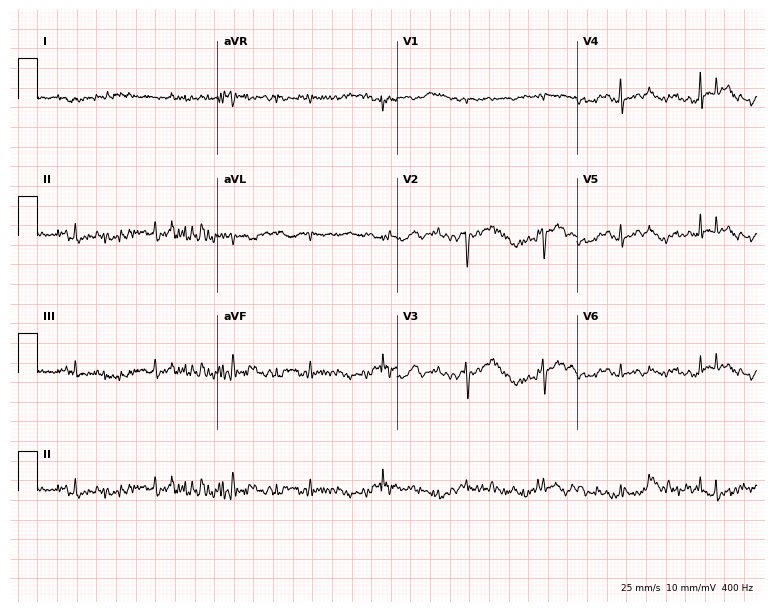
ECG (7.3-second recording at 400 Hz) — a 24-year-old female. Screened for six findings — first-degree AV block, right bundle branch block, left bundle branch block, sinus bradycardia, atrial fibrillation, sinus tachycardia — none is recorded. Findings outside these six are not listed.